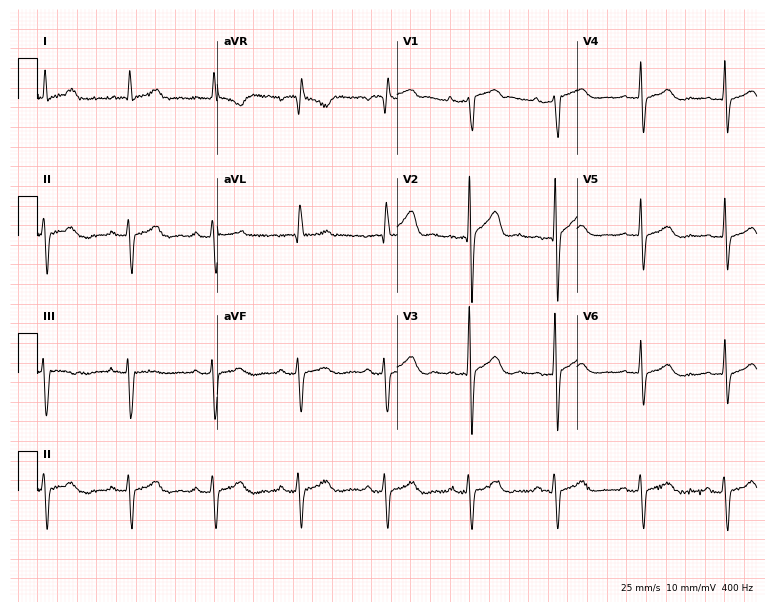
12-lead ECG (7.3-second recording at 400 Hz) from a male, 65 years old. Screened for six findings — first-degree AV block, right bundle branch block, left bundle branch block, sinus bradycardia, atrial fibrillation, sinus tachycardia — none is recorded. Only these six findings were labelled.